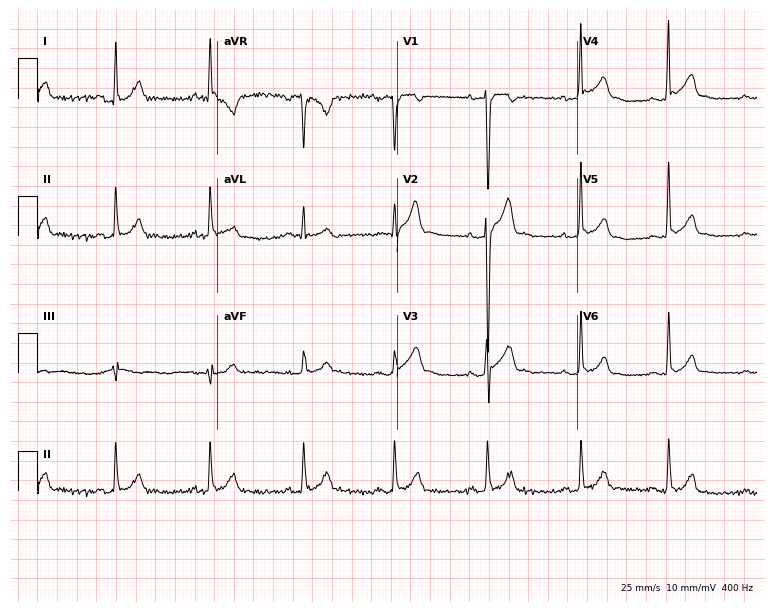
Standard 12-lead ECG recorded from a male patient, 26 years old (7.3-second recording at 400 Hz). Read as a normal ECG.